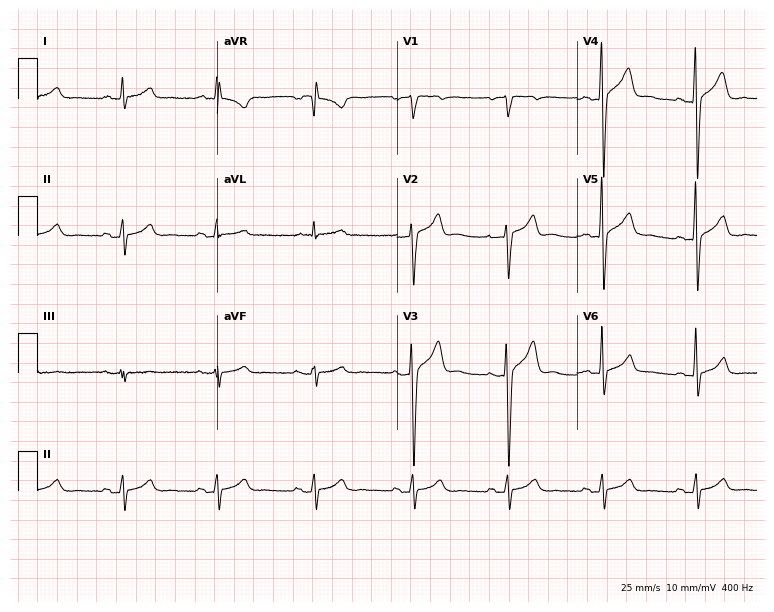
Resting 12-lead electrocardiogram. Patient: a male, 51 years old. None of these six findings is recorded: first-degree AV block, right bundle branch block, left bundle branch block, sinus bradycardia, atrial fibrillation, sinus tachycardia. Only these six findings were labelled.